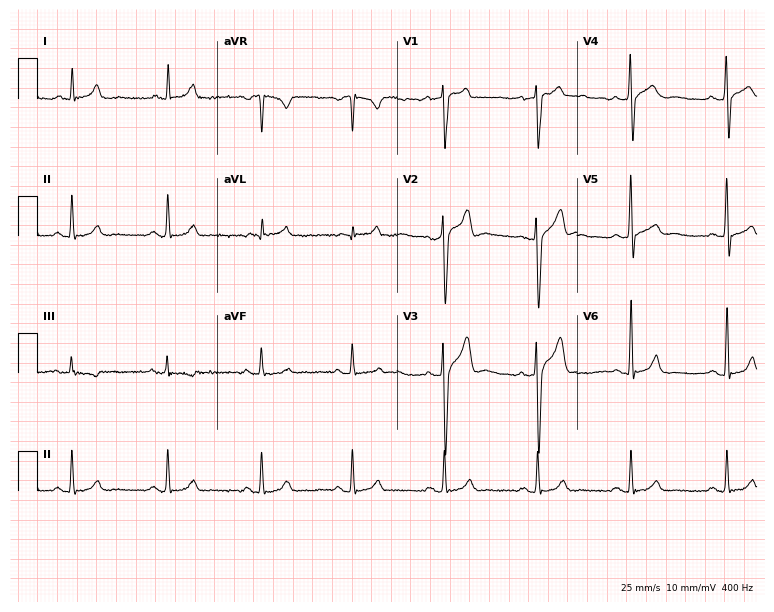
Standard 12-lead ECG recorded from a male, 46 years old. Read as a normal ECG.